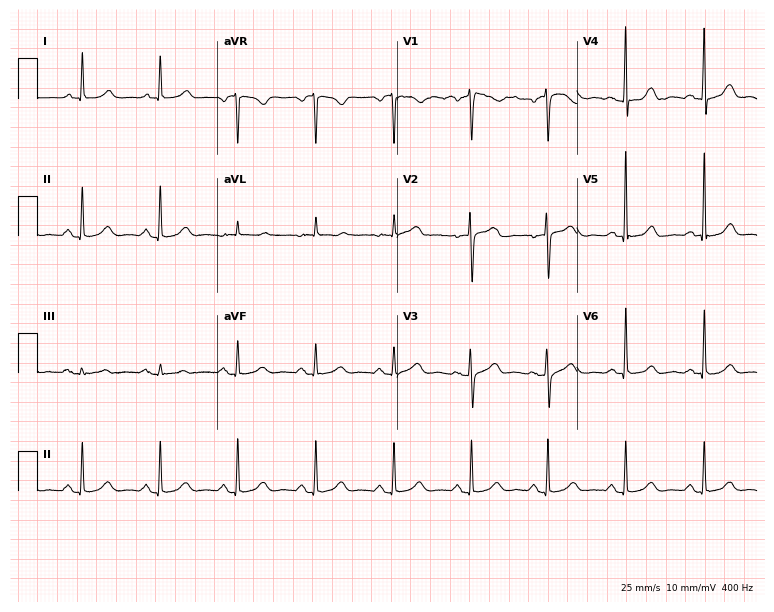
12-lead ECG from a female patient, 55 years old. Screened for six findings — first-degree AV block, right bundle branch block, left bundle branch block, sinus bradycardia, atrial fibrillation, sinus tachycardia — none is recorded. Findings outside these six are not listed.